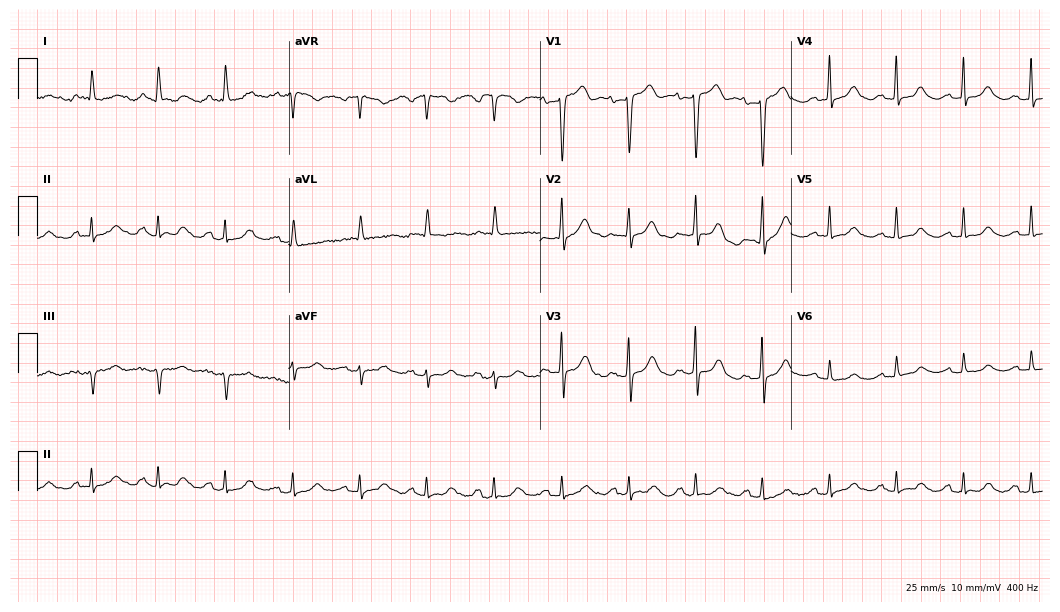
Resting 12-lead electrocardiogram. Patient: a woman, 84 years old. None of these six findings is recorded: first-degree AV block, right bundle branch block (RBBB), left bundle branch block (LBBB), sinus bradycardia, atrial fibrillation (AF), sinus tachycardia.